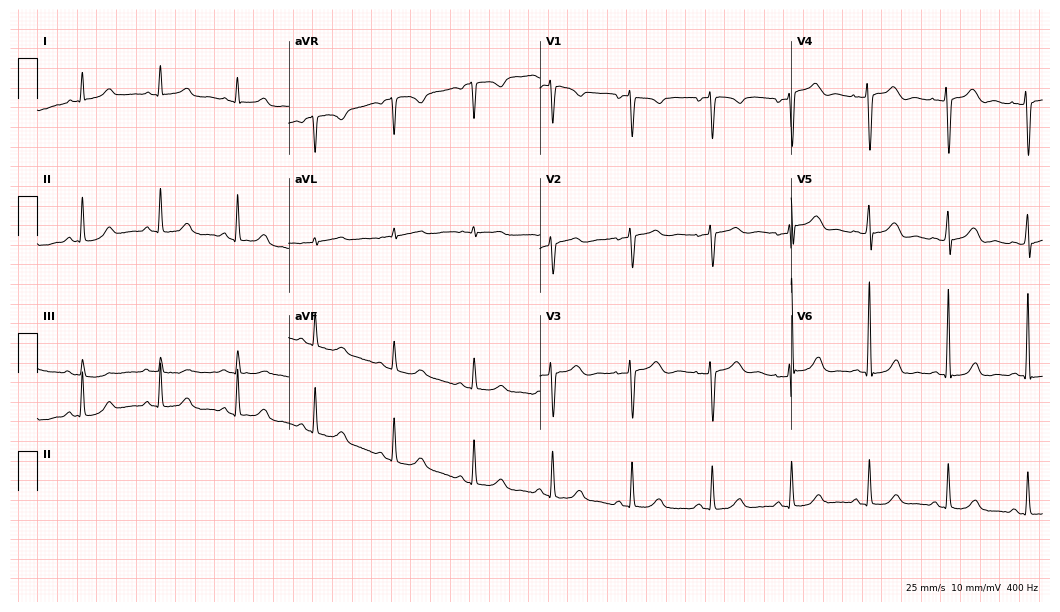
Standard 12-lead ECG recorded from a female patient, 50 years old. Read as a normal ECG.